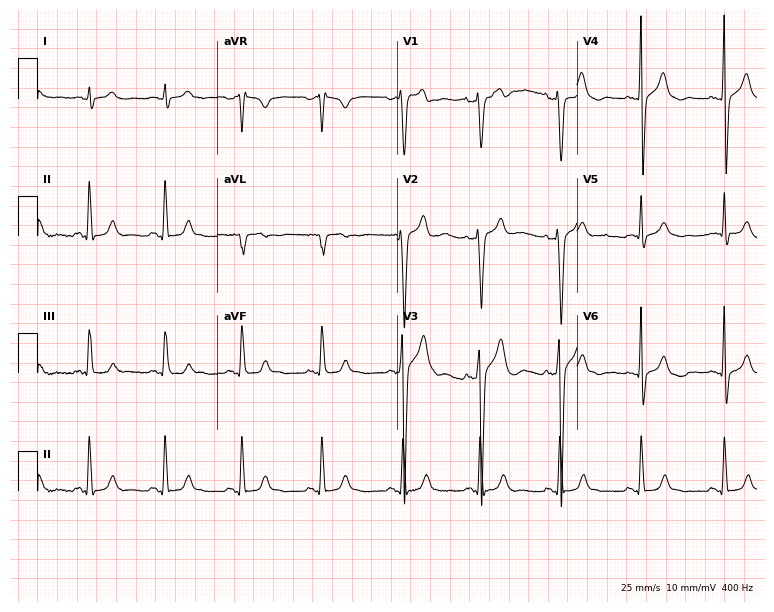
Electrocardiogram, a 44-year-old male. Of the six screened findings (first-degree AV block, right bundle branch block, left bundle branch block, sinus bradycardia, atrial fibrillation, sinus tachycardia), none is recorded. Only these six findings were labelled.